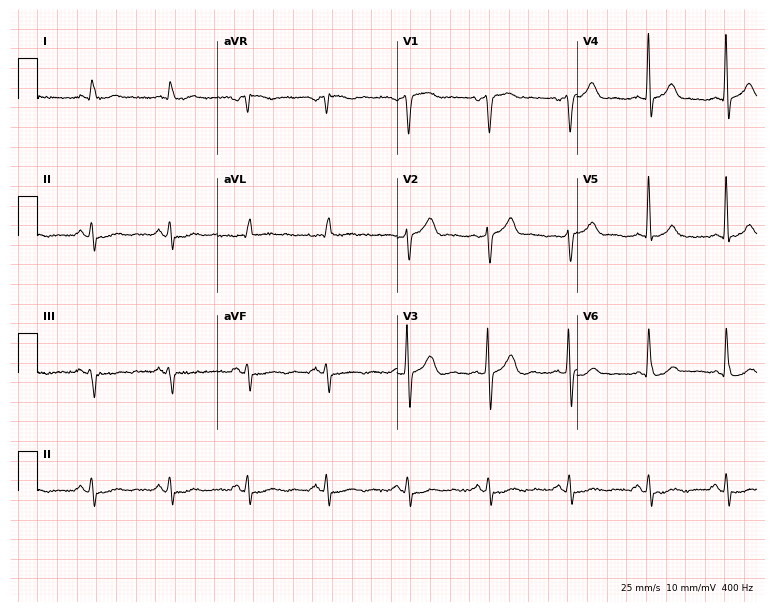
Standard 12-lead ECG recorded from a male, 72 years old (7.3-second recording at 400 Hz). None of these six findings is recorded: first-degree AV block, right bundle branch block, left bundle branch block, sinus bradycardia, atrial fibrillation, sinus tachycardia. Findings outside these six are not listed.